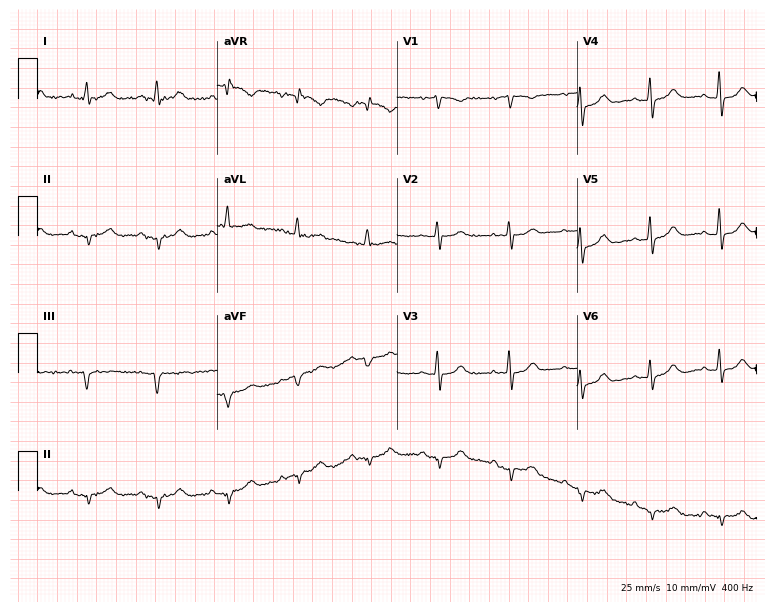
Resting 12-lead electrocardiogram (7.3-second recording at 400 Hz). Patient: a 68-year-old woman. None of these six findings is recorded: first-degree AV block, right bundle branch block (RBBB), left bundle branch block (LBBB), sinus bradycardia, atrial fibrillation (AF), sinus tachycardia. Other findings, if any, are not listed.